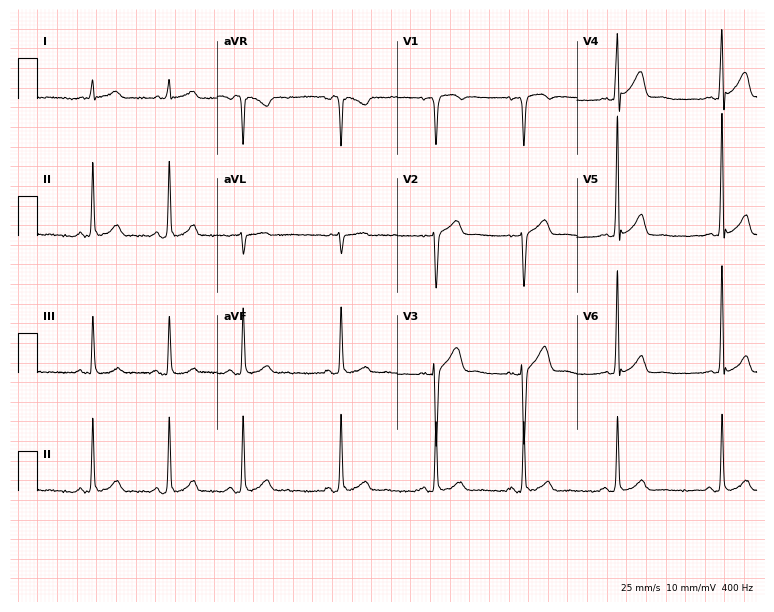
Standard 12-lead ECG recorded from a 30-year-old male patient. Read as a normal ECG.